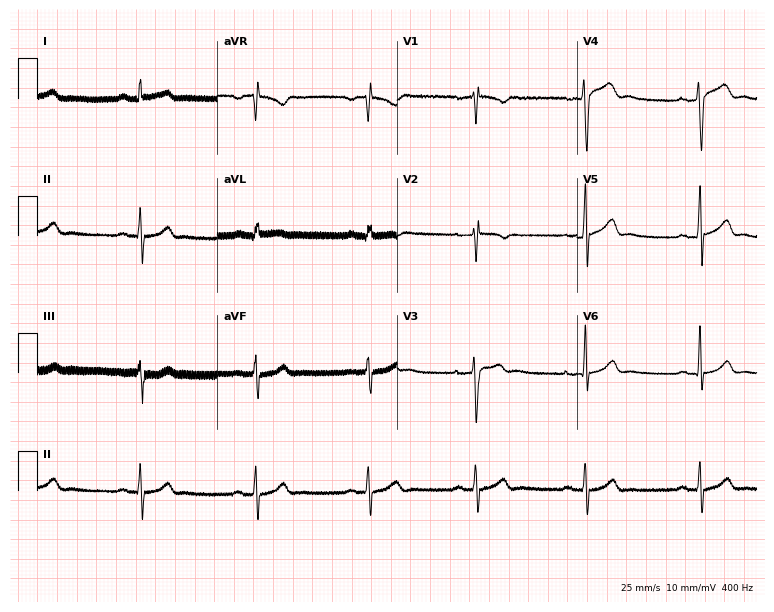
Electrocardiogram (7.3-second recording at 400 Hz), a 26-year-old male patient. Overall reading on record: normal ECG.